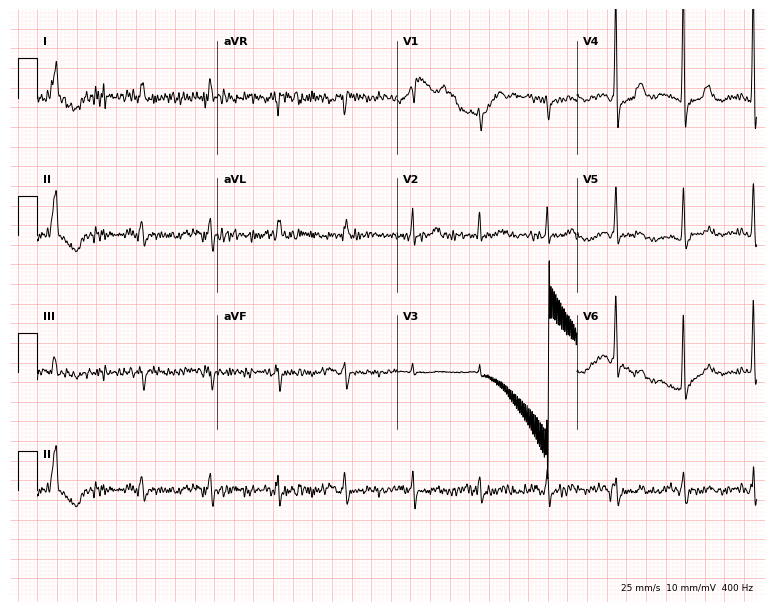
Electrocardiogram, an 89-year-old woman. Of the six screened findings (first-degree AV block, right bundle branch block (RBBB), left bundle branch block (LBBB), sinus bradycardia, atrial fibrillation (AF), sinus tachycardia), none is recorded. Only these six findings were labelled.